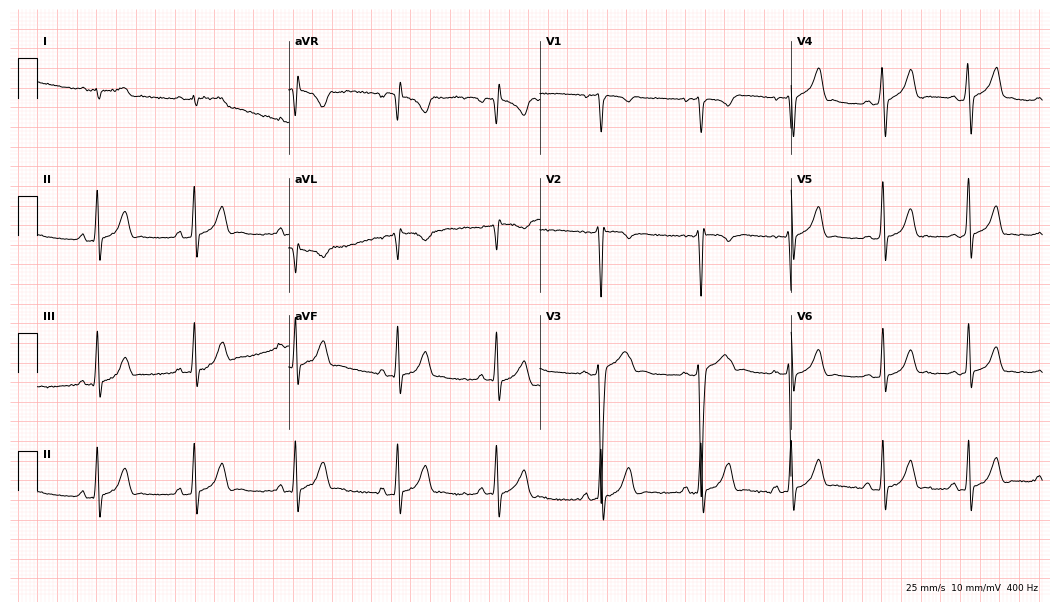
Electrocardiogram, a 17-year-old male. Of the six screened findings (first-degree AV block, right bundle branch block, left bundle branch block, sinus bradycardia, atrial fibrillation, sinus tachycardia), none is recorded.